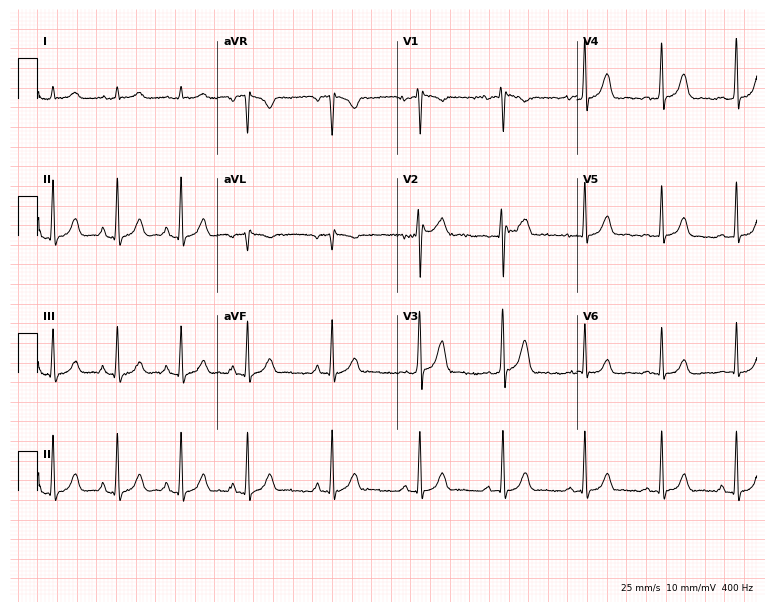
12-lead ECG from a 28-year-old man (7.3-second recording at 400 Hz). Recorded interpretation: within normal limits.